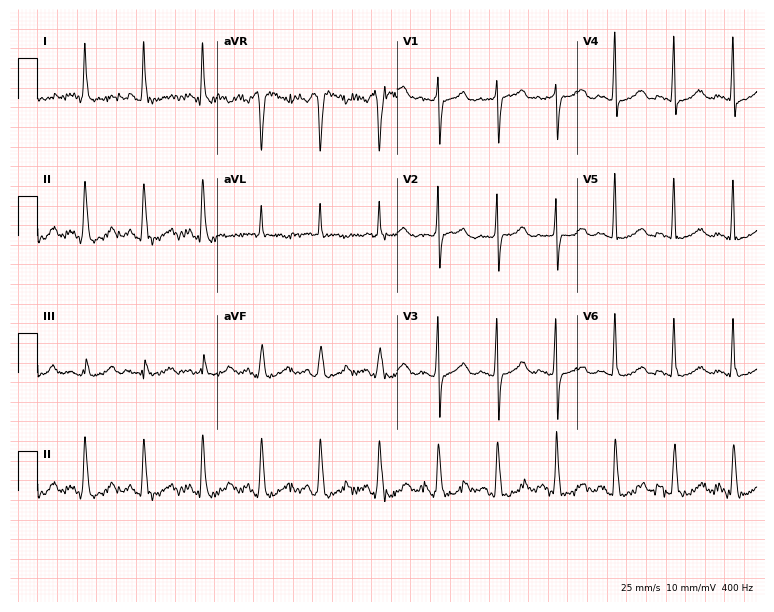
12-lead ECG from a 62-year-old woman (7.3-second recording at 400 Hz). Shows sinus tachycardia (a sinus rate of 100 beats per minute or more).